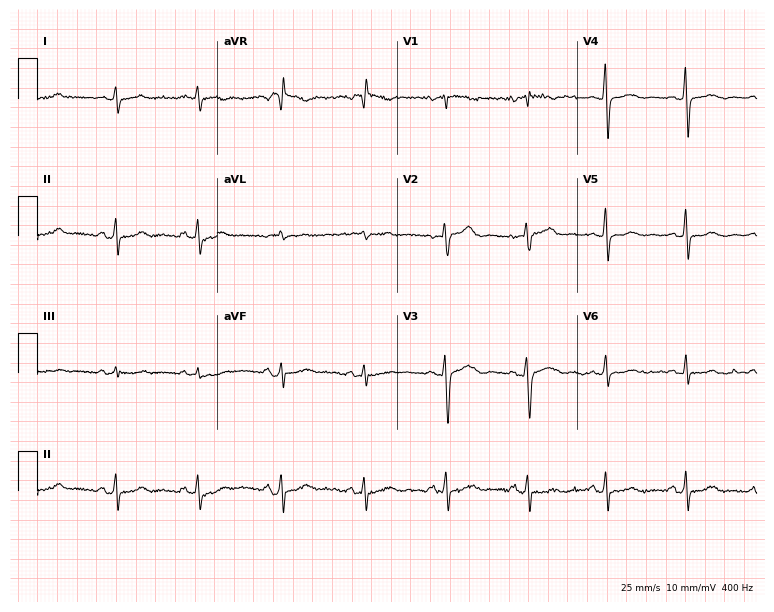
12-lead ECG from a 49-year-old female. Recorded interpretation: within normal limits.